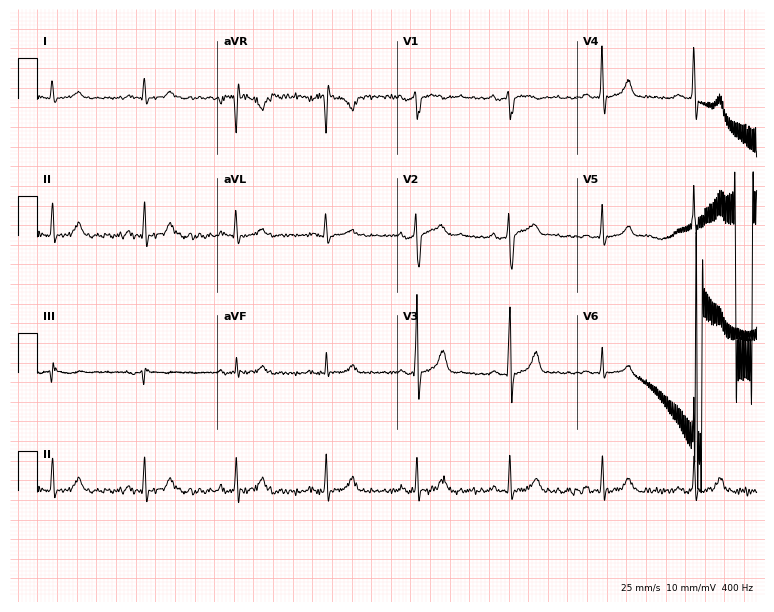
Electrocardiogram (7.3-second recording at 400 Hz), a male patient, 59 years old. Overall reading on record: normal ECG.